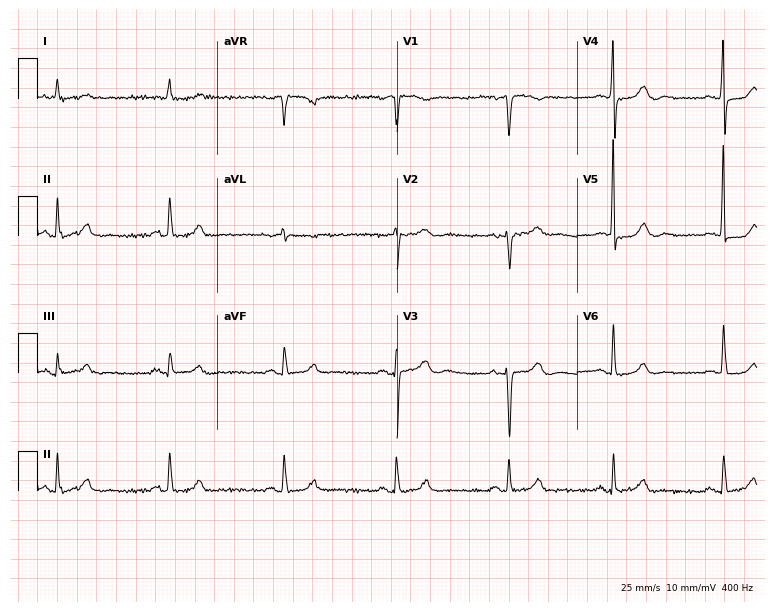
12-lead ECG from an 80-year-old female. No first-degree AV block, right bundle branch block, left bundle branch block, sinus bradycardia, atrial fibrillation or sinus tachycardia recorded for this tracing. Findings outside these six are not listed.